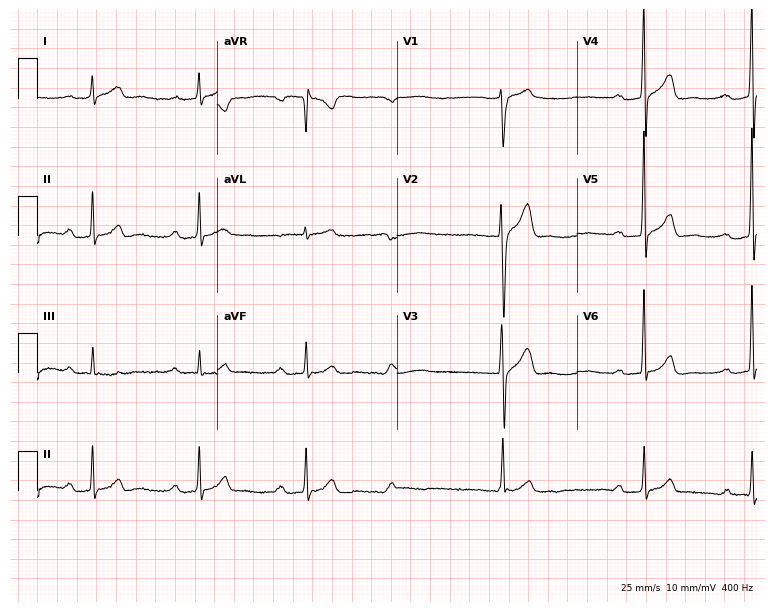
Standard 12-lead ECG recorded from a male, 44 years old. The tracing shows first-degree AV block, sinus bradycardia (a sinus rate of 50 beats per minute or less).